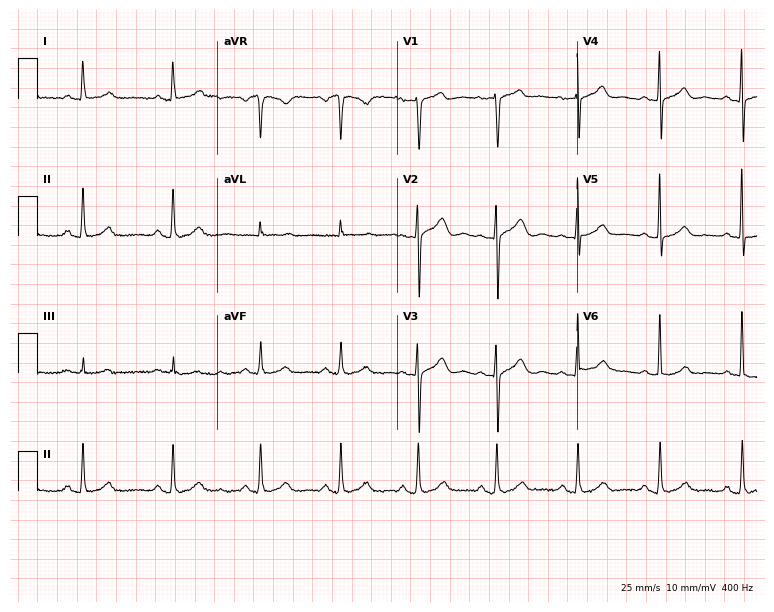
ECG (7.3-second recording at 400 Hz) — a 60-year-old female. Screened for six findings — first-degree AV block, right bundle branch block (RBBB), left bundle branch block (LBBB), sinus bradycardia, atrial fibrillation (AF), sinus tachycardia — none is recorded.